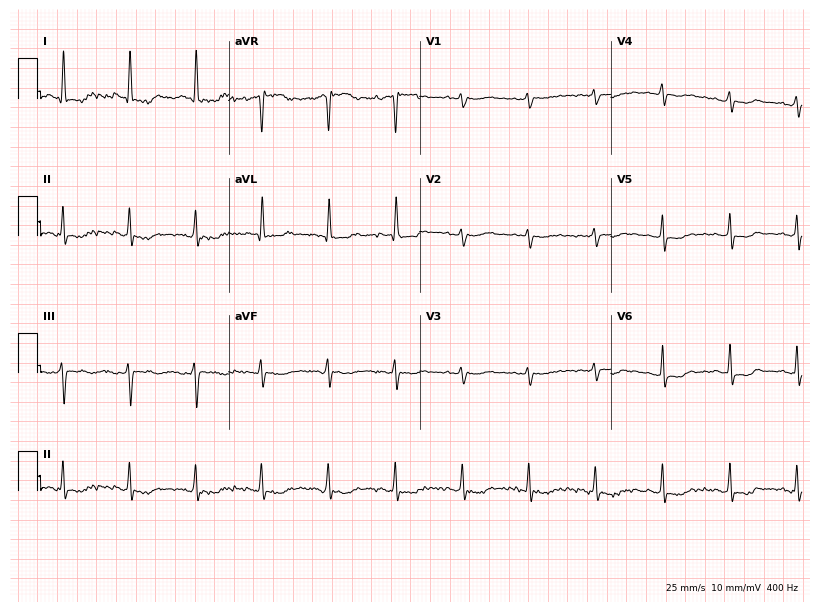
12-lead ECG from a woman, 69 years old. No first-degree AV block, right bundle branch block (RBBB), left bundle branch block (LBBB), sinus bradycardia, atrial fibrillation (AF) or sinus tachycardia recorded for this tracing. Other findings, if any, are not listed.